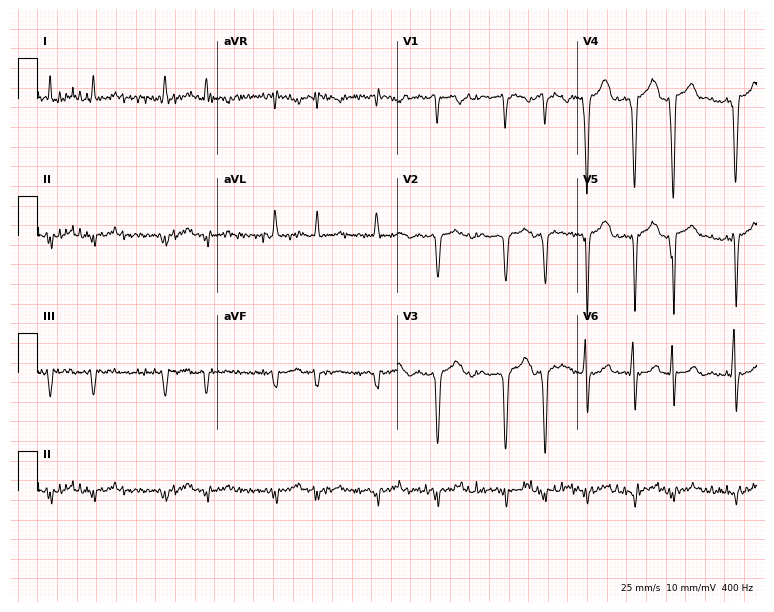
Standard 12-lead ECG recorded from a man, 83 years old (7.3-second recording at 400 Hz). None of these six findings is recorded: first-degree AV block, right bundle branch block, left bundle branch block, sinus bradycardia, atrial fibrillation, sinus tachycardia. Only these six findings were labelled.